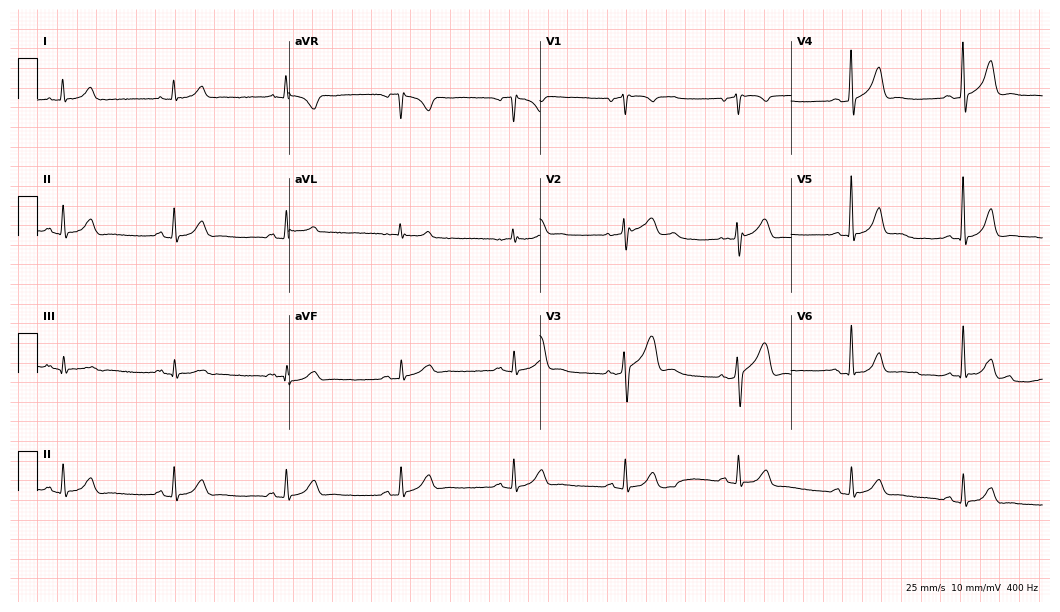
Resting 12-lead electrocardiogram. Patient: an 83-year-old male. Read as a normal ECG.